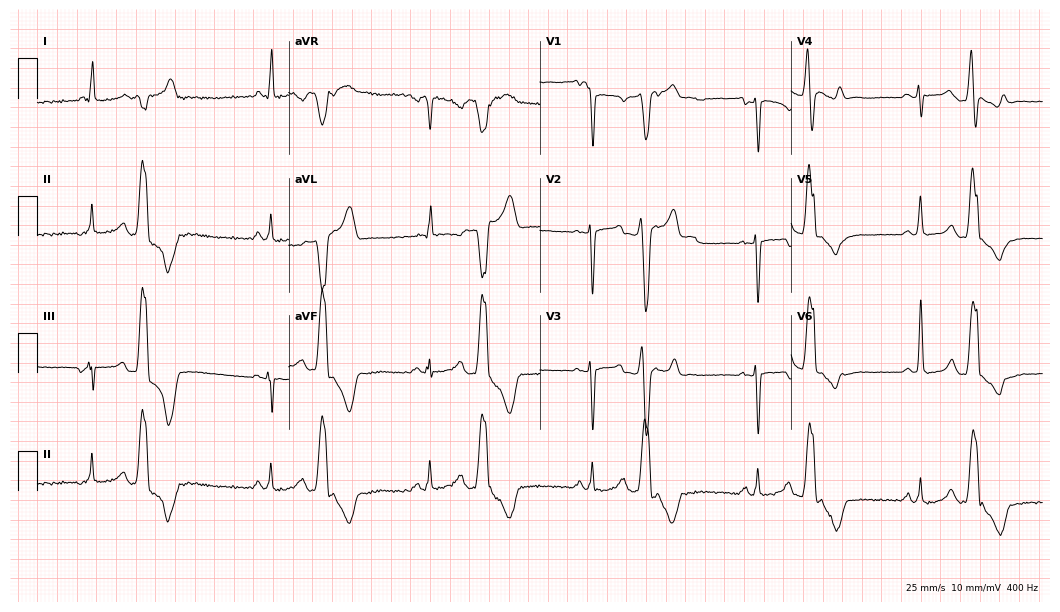
Electrocardiogram, a 46-year-old woman. Of the six screened findings (first-degree AV block, right bundle branch block, left bundle branch block, sinus bradycardia, atrial fibrillation, sinus tachycardia), none is recorded. Only these six findings were labelled.